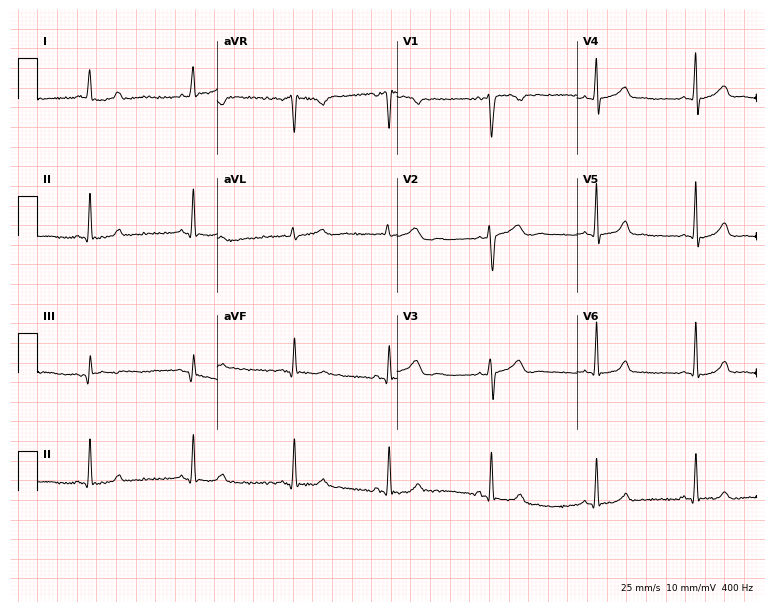
ECG — a female, 17 years old. Screened for six findings — first-degree AV block, right bundle branch block, left bundle branch block, sinus bradycardia, atrial fibrillation, sinus tachycardia — none is recorded.